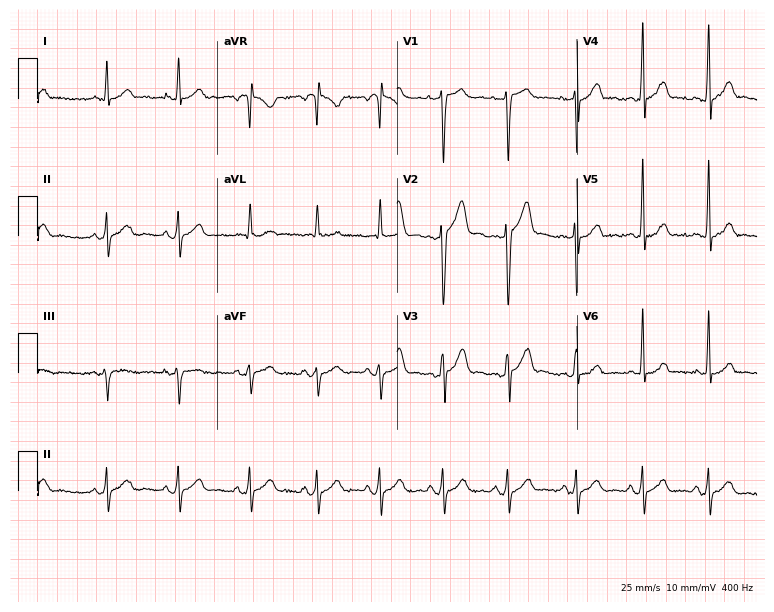
Resting 12-lead electrocardiogram. Patient: a man, 35 years old. Read as a normal ECG.